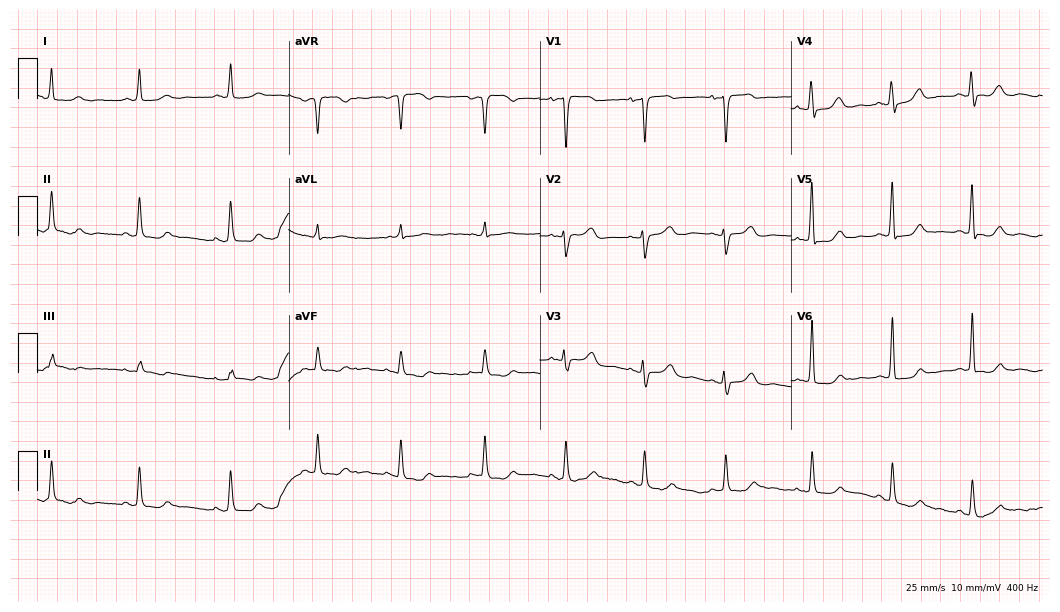
Resting 12-lead electrocardiogram (10.2-second recording at 400 Hz). Patient: a 76-year-old female. None of these six findings is recorded: first-degree AV block, right bundle branch block, left bundle branch block, sinus bradycardia, atrial fibrillation, sinus tachycardia. Only these six findings were labelled.